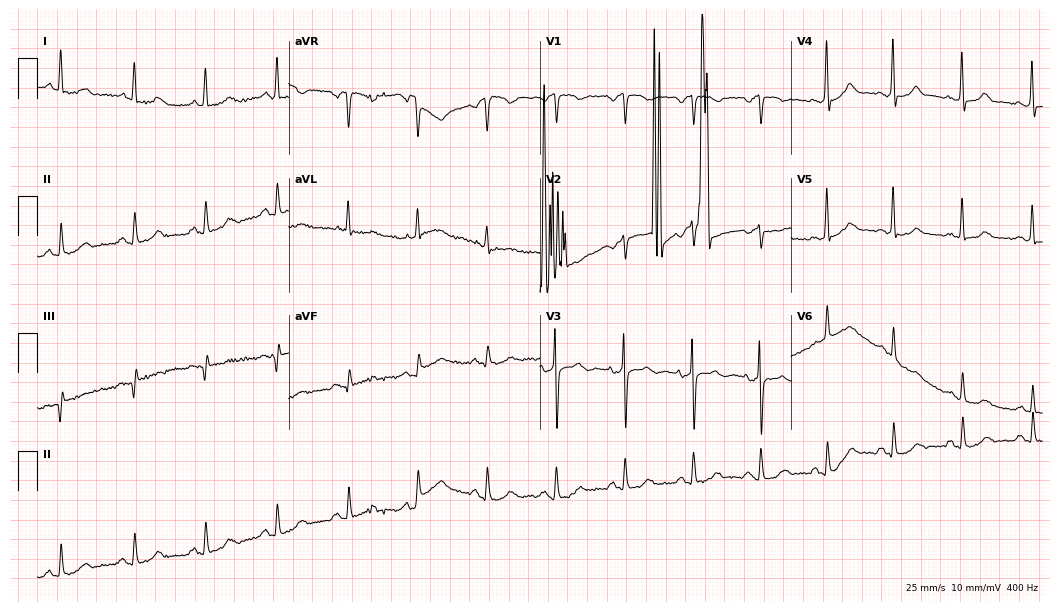
Resting 12-lead electrocardiogram. Patient: a female, 77 years old. Read as a normal ECG.